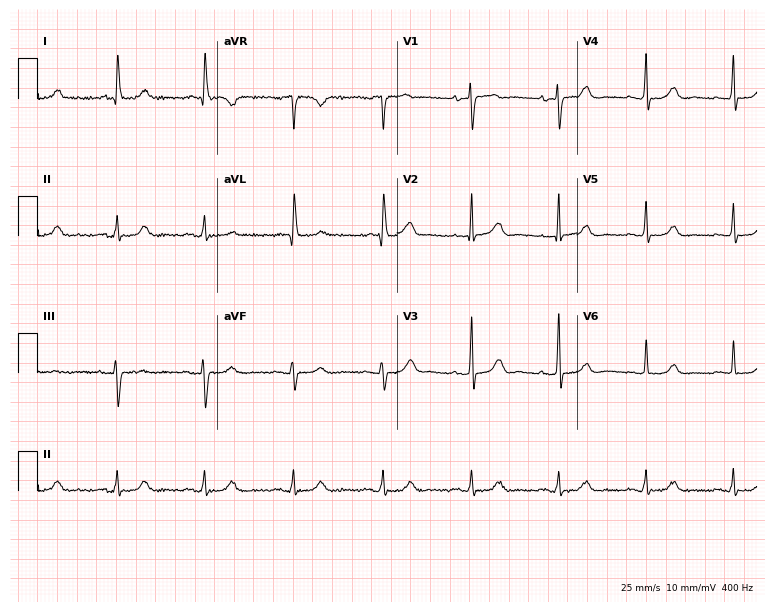
Electrocardiogram (7.3-second recording at 400 Hz), a 73-year-old woman. Overall reading on record: normal ECG.